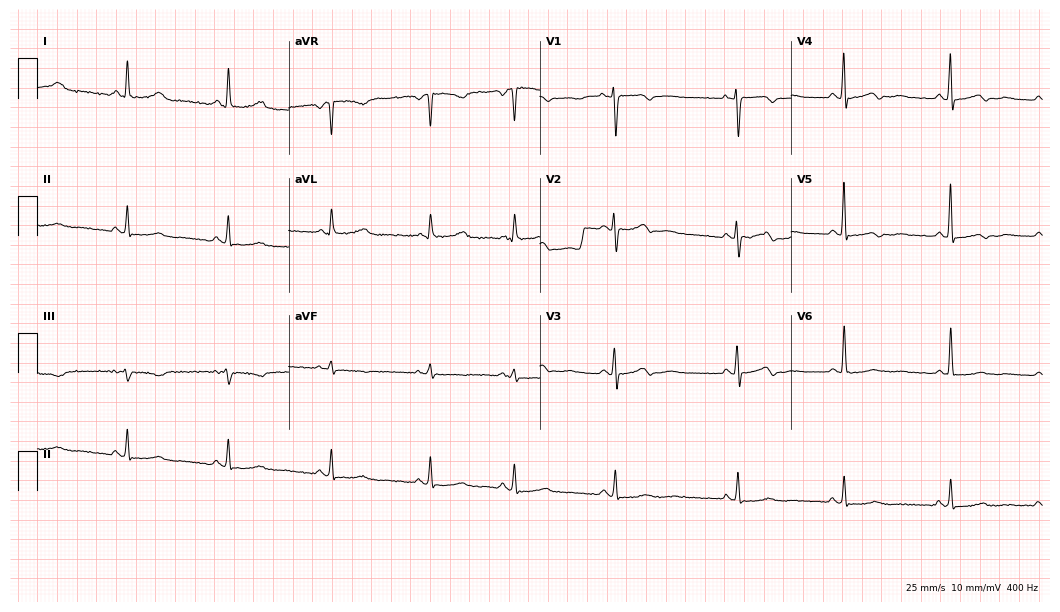
Electrocardiogram (10.2-second recording at 400 Hz), a woman, 53 years old. Overall reading on record: normal ECG.